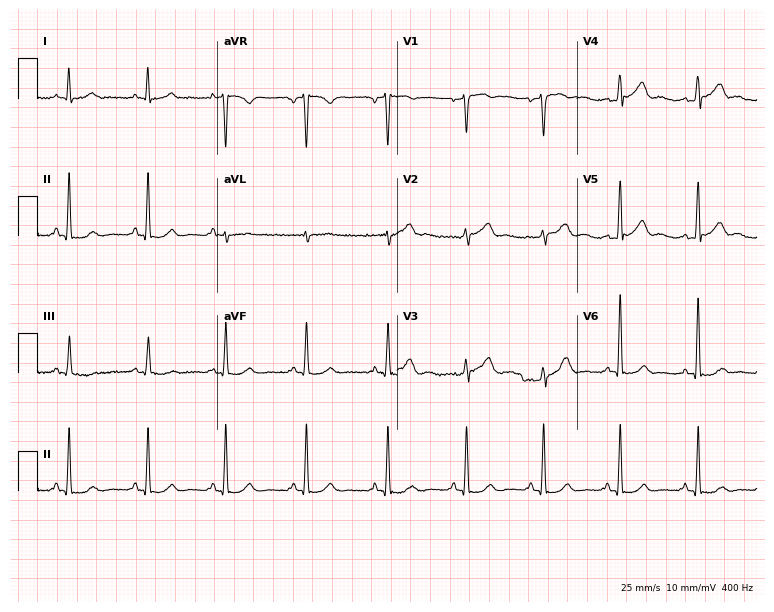
Resting 12-lead electrocardiogram (7.3-second recording at 400 Hz). Patient: a male, 54 years old. None of these six findings is recorded: first-degree AV block, right bundle branch block, left bundle branch block, sinus bradycardia, atrial fibrillation, sinus tachycardia. Other findings, if any, are not listed.